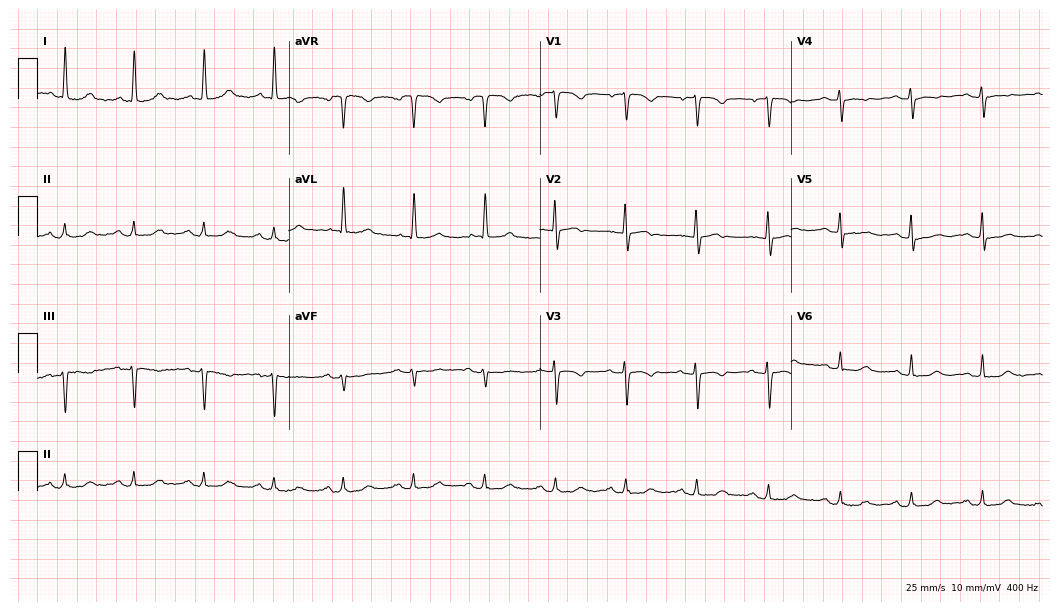
Resting 12-lead electrocardiogram (10.2-second recording at 400 Hz). Patient: a female, 75 years old. None of these six findings is recorded: first-degree AV block, right bundle branch block, left bundle branch block, sinus bradycardia, atrial fibrillation, sinus tachycardia. Only these six findings were labelled.